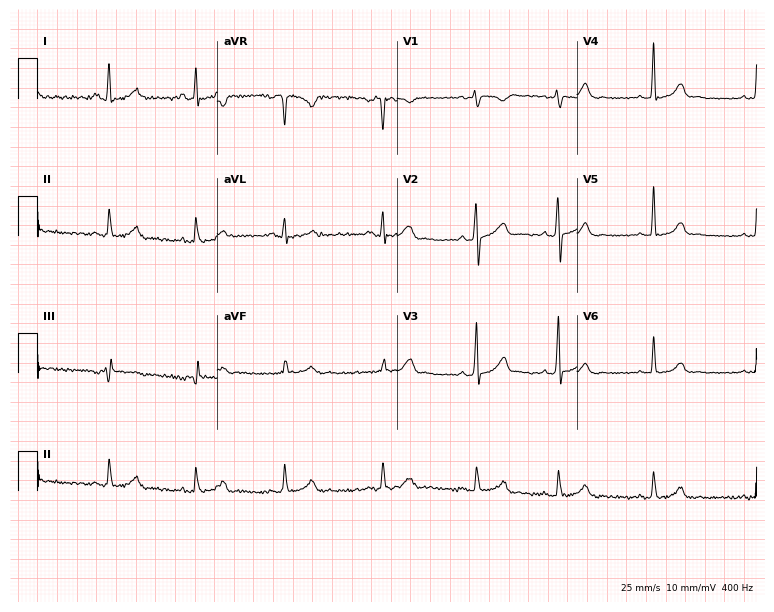
ECG (7.3-second recording at 400 Hz) — a 26-year-old woman. Screened for six findings — first-degree AV block, right bundle branch block, left bundle branch block, sinus bradycardia, atrial fibrillation, sinus tachycardia — none is recorded. Other findings, if any, are not listed.